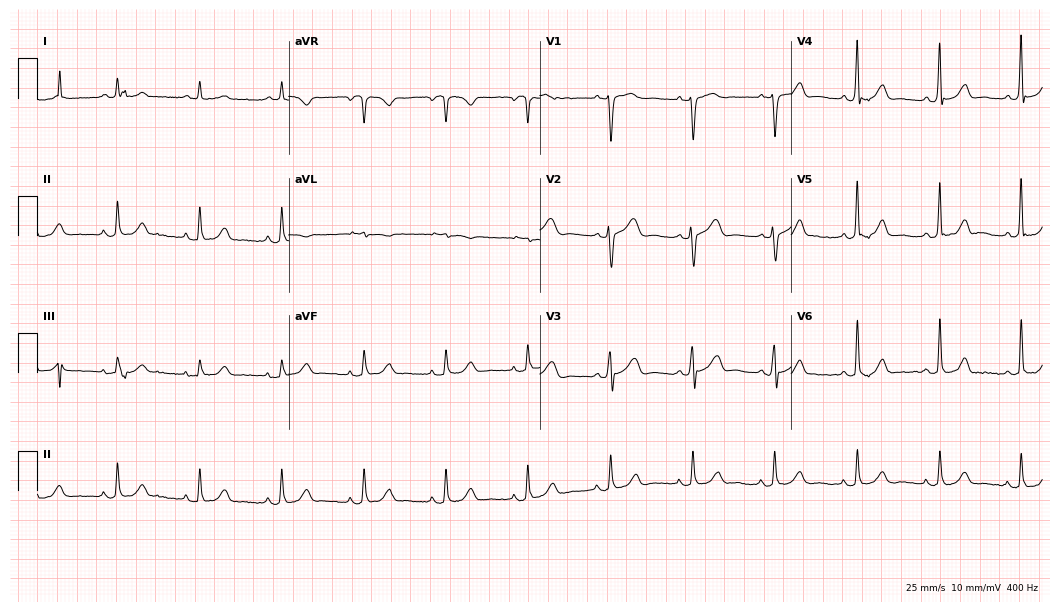
Resting 12-lead electrocardiogram. Patient: a 78-year-old male. Read as a normal ECG.